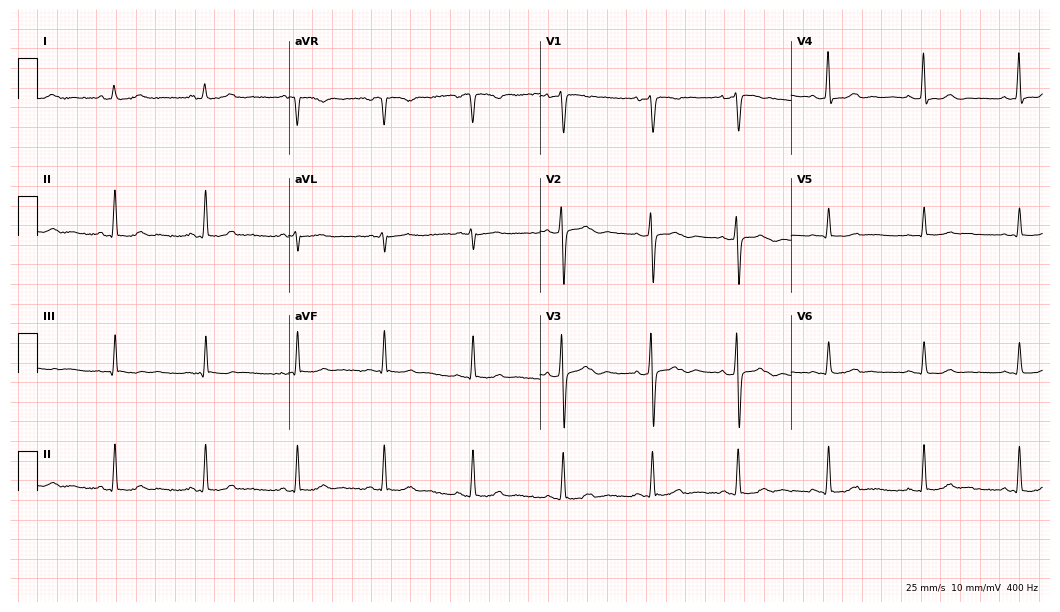
Resting 12-lead electrocardiogram. Patient: a 25-year-old female. None of these six findings is recorded: first-degree AV block, right bundle branch block, left bundle branch block, sinus bradycardia, atrial fibrillation, sinus tachycardia.